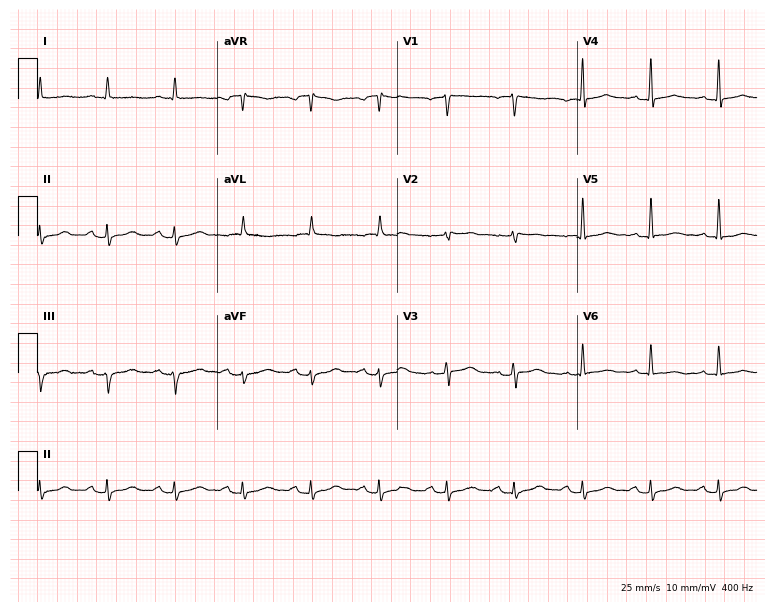
Standard 12-lead ECG recorded from an 84-year-old man (7.3-second recording at 400 Hz). None of these six findings is recorded: first-degree AV block, right bundle branch block, left bundle branch block, sinus bradycardia, atrial fibrillation, sinus tachycardia. Other findings, if any, are not listed.